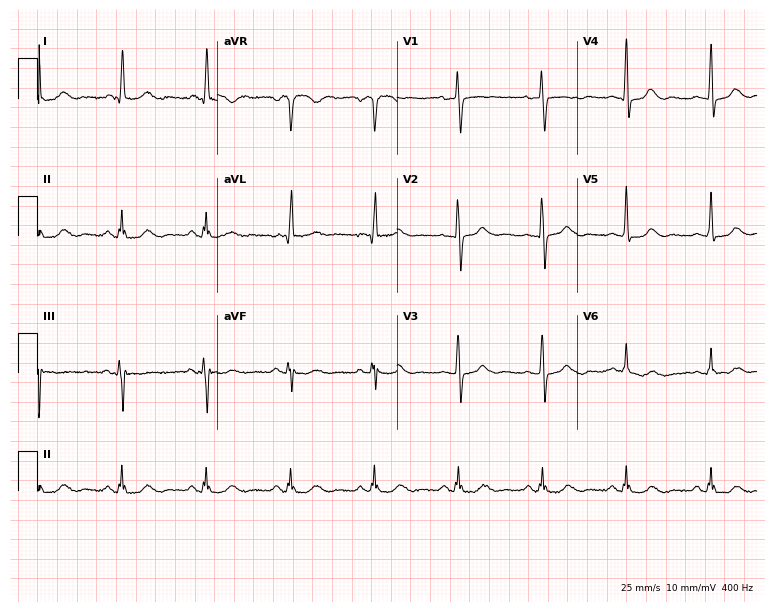
ECG (7.3-second recording at 400 Hz) — a 79-year-old female patient. Screened for six findings — first-degree AV block, right bundle branch block, left bundle branch block, sinus bradycardia, atrial fibrillation, sinus tachycardia — none is recorded. Only these six findings were labelled.